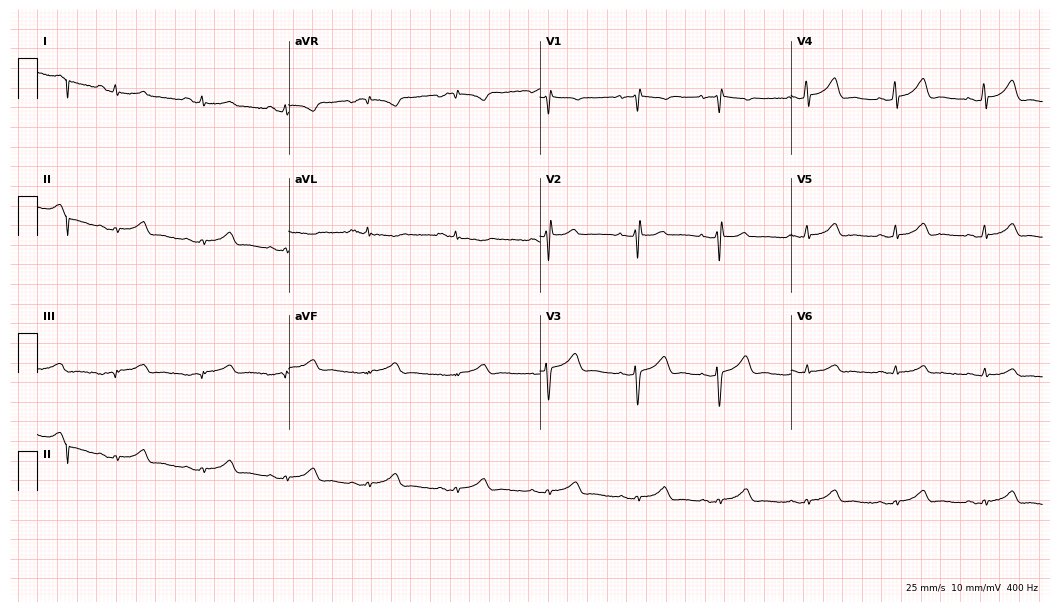
12-lead ECG from a female, 36 years old. Screened for six findings — first-degree AV block, right bundle branch block, left bundle branch block, sinus bradycardia, atrial fibrillation, sinus tachycardia — none is recorded.